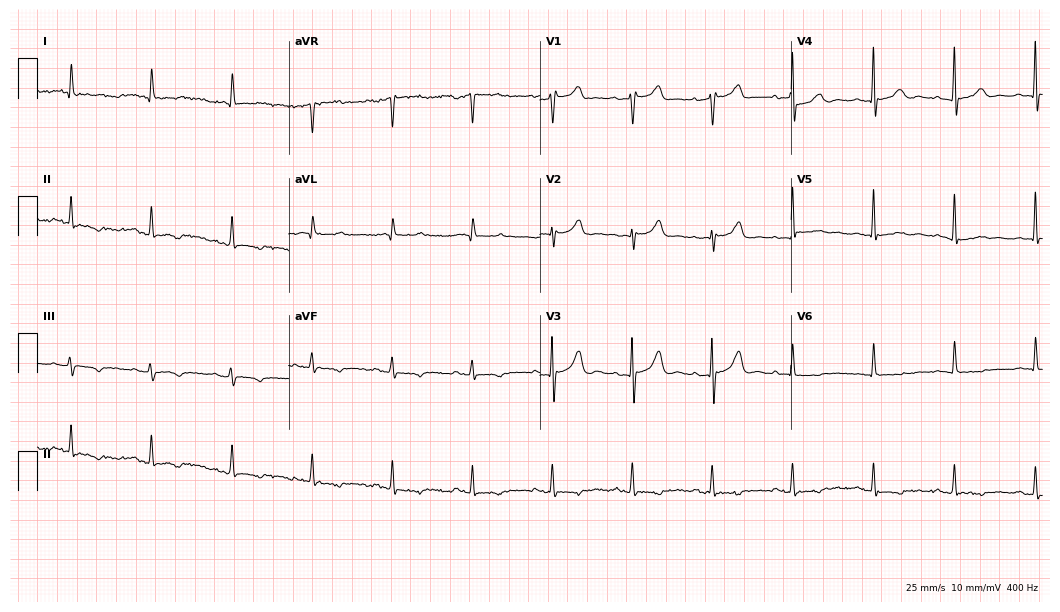
Electrocardiogram (10.2-second recording at 400 Hz), an 83-year-old male patient. Of the six screened findings (first-degree AV block, right bundle branch block, left bundle branch block, sinus bradycardia, atrial fibrillation, sinus tachycardia), none is recorded.